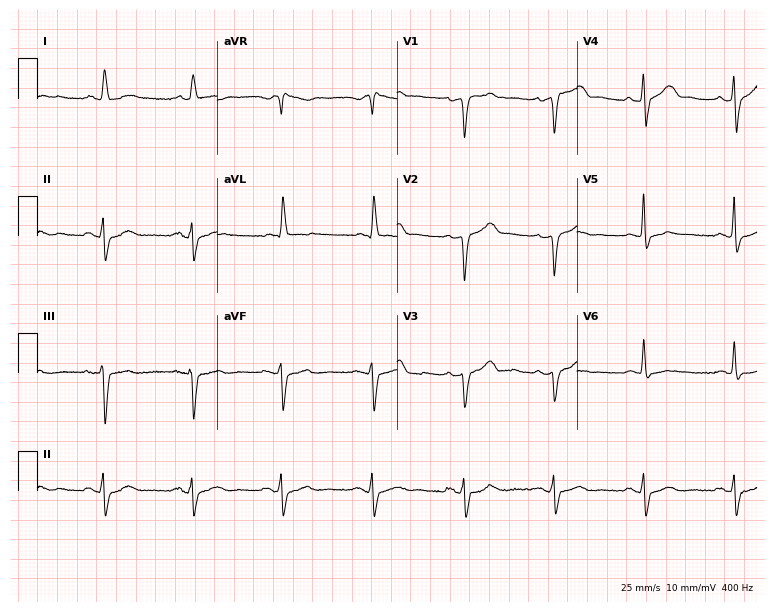
Electrocardiogram, a 69-year-old male patient. Of the six screened findings (first-degree AV block, right bundle branch block (RBBB), left bundle branch block (LBBB), sinus bradycardia, atrial fibrillation (AF), sinus tachycardia), none is recorded.